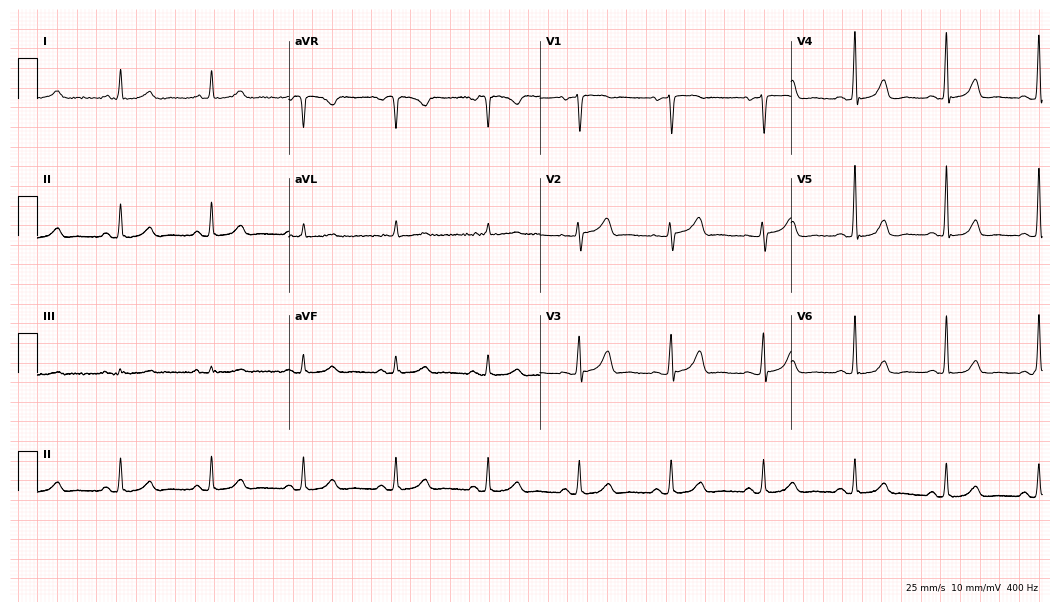
Resting 12-lead electrocardiogram (10.2-second recording at 400 Hz). Patient: a woman, 75 years old. None of these six findings is recorded: first-degree AV block, right bundle branch block, left bundle branch block, sinus bradycardia, atrial fibrillation, sinus tachycardia. Findings outside these six are not listed.